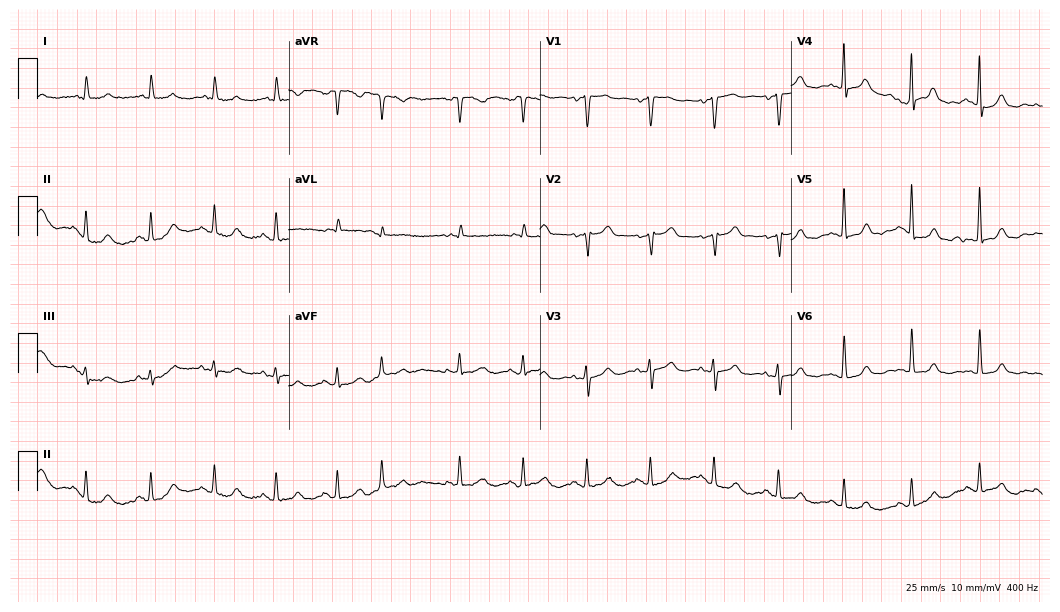
12-lead ECG from a female patient, 81 years old. Labelled as a normal ECG.